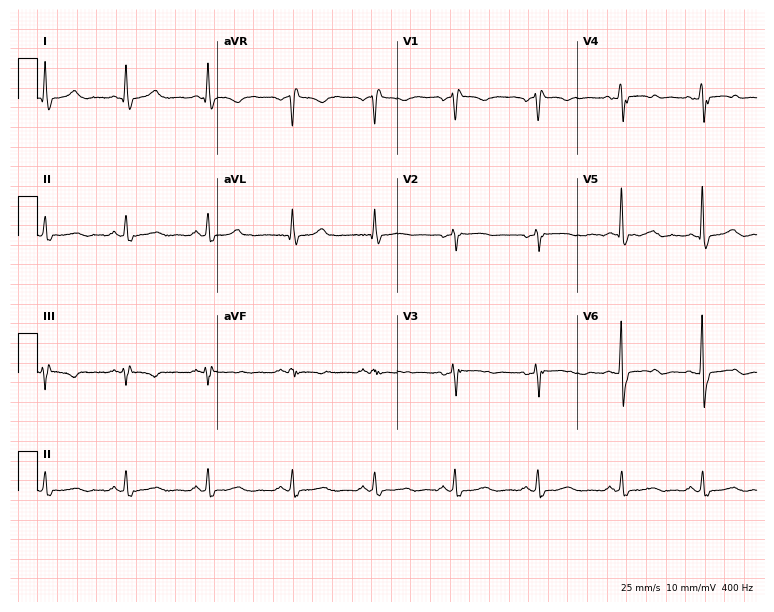
Standard 12-lead ECG recorded from a 49-year-old woman. None of these six findings is recorded: first-degree AV block, right bundle branch block, left bundle branch block, sinus bradycardia, atrial fibrillation, sinus tachycardia.